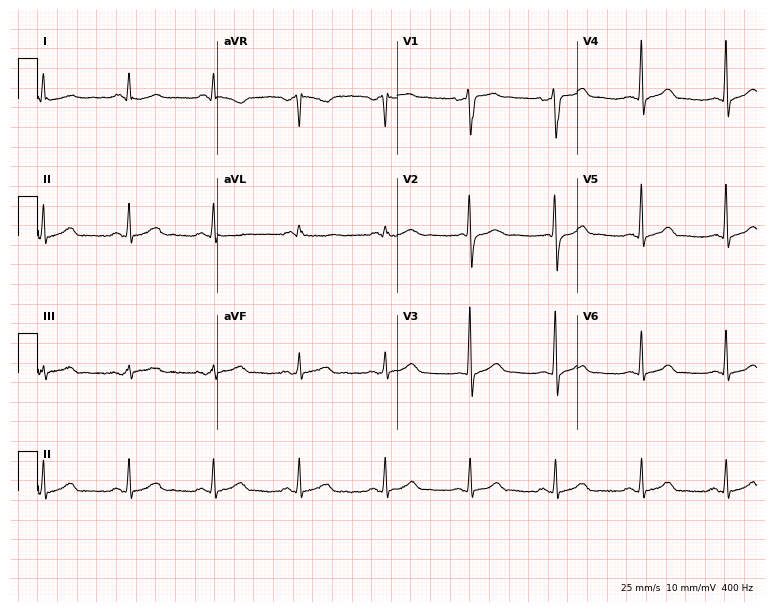
12-lead ECG from a man, 37 years old (7.3-second recording at 400 Hz). Recorded interpretation: within normal limits.